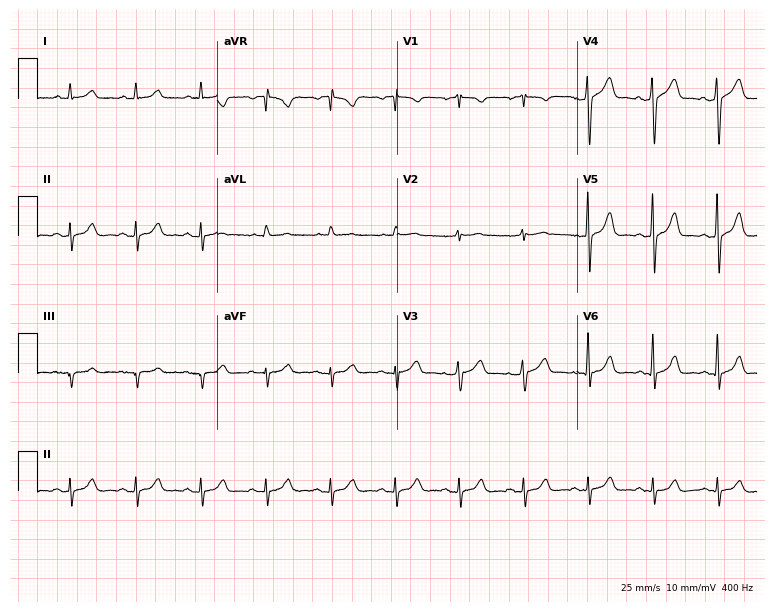
Electrocardiogram, a male patient, 54 years old. Of the six screened findings (first-degree AV block, right bundle branch block, left bundle branch block, sinus bradycardia, atrial fibrillation, sinus tachycardia), none is recorded. Only these six findings were labelled.